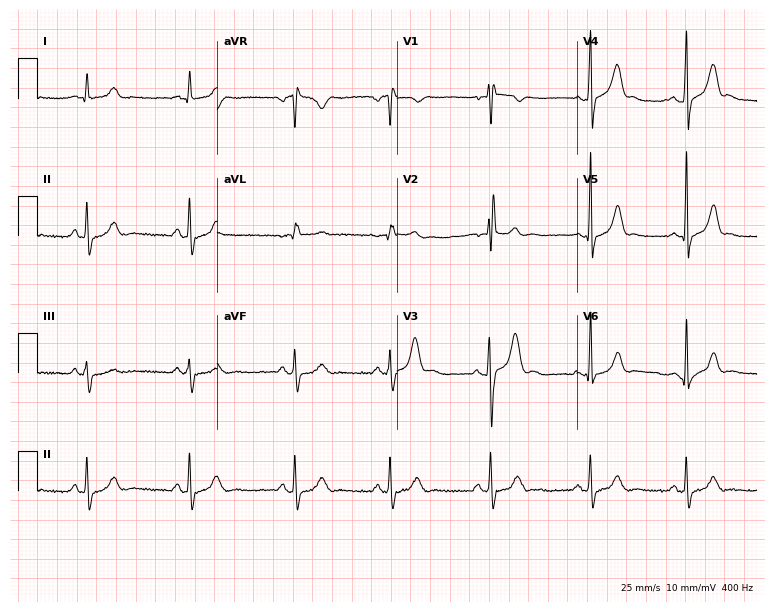
Standard 12-lead ECG recorded from a 24-year-old male patient (7.3-second recording at 400 Hz). None of these six findings is recorded: first-degree AV block, right bundle branch block, left bundle branch block, sinus bradycardia, atrial fibrillation, sinus tachycardia. Other findings, if any, are not listed.